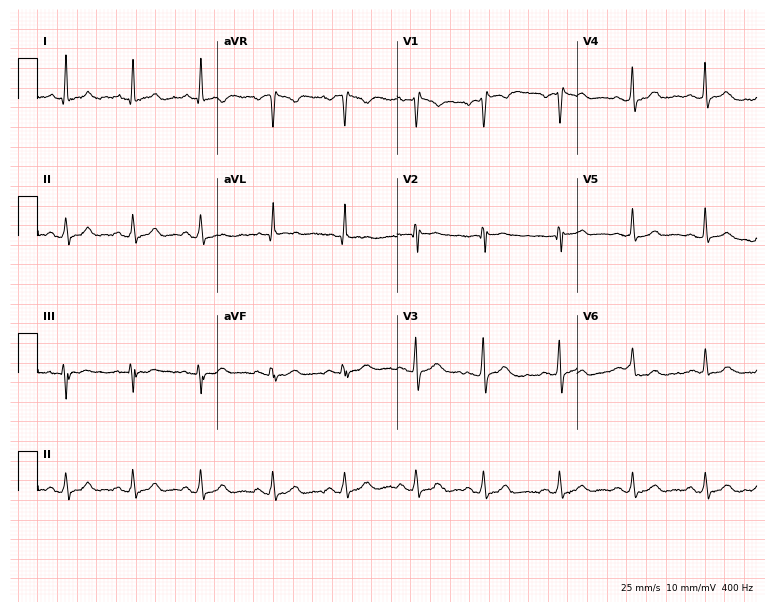
Standard 12-lead ECG recorded from a man, 45 years old (7.3-second recording at 400 Hz). None of these six findings is recorded: first-degree AV block, right bundle branch block, left bundle branch block, sinus bradycardia, atrial fibrillation, sinus tachycardia. Other findings, if any, are not listed.